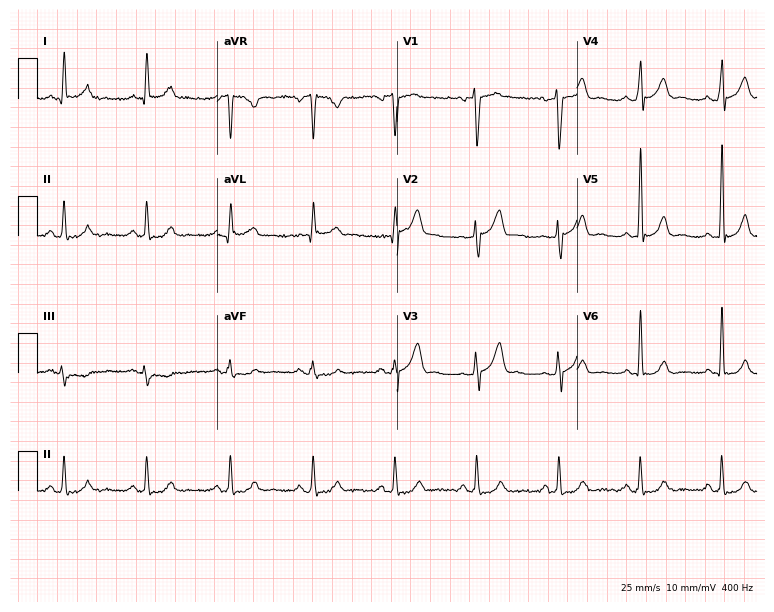
12-lead ECG from a male patient, 48 years old. No first-degree AV block, right bundle branch block, left bundle branch block, sinus bradycardia, atrial fibrillation or sinus tachycardia recorded for this tracing. Only these six findings were labelled.